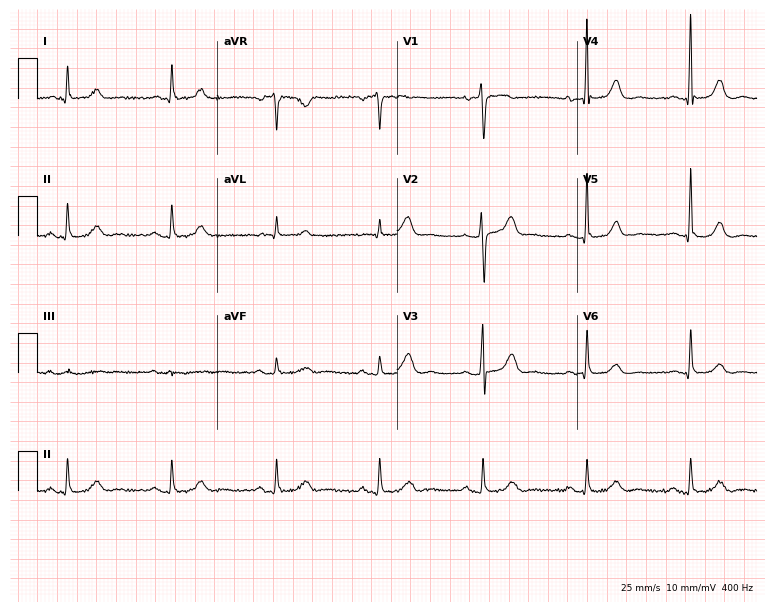
12-lead ECG (7.3-second recording at 400 Hz) from a woman, 63 years old. Labelled as a normal ECG.